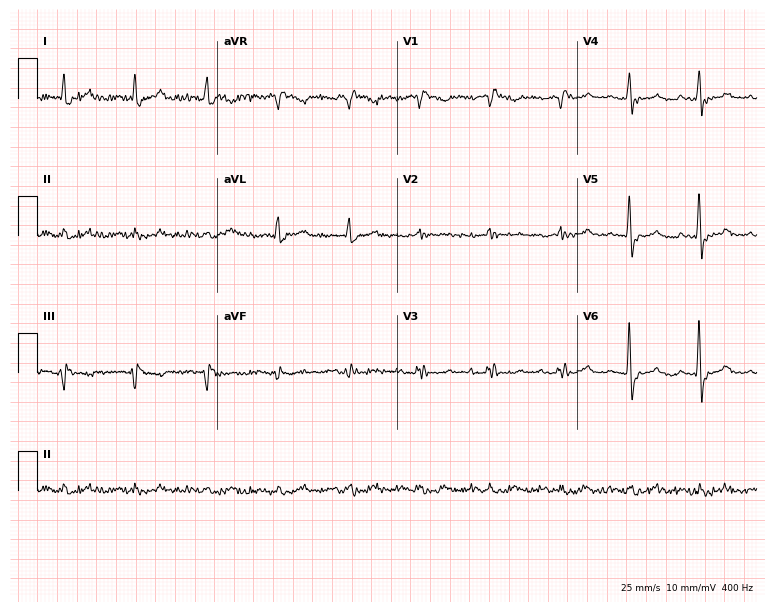
Resting 12-lead electrocardiogram. Patient: a male, 79 years old. None of these six findings is recorded: first-degree AV block, right bundle branch block (RBBB), left bundle branch block (LBBB), sinus bradycardia, atrial fibrillation (AF), sinus tachycardia.